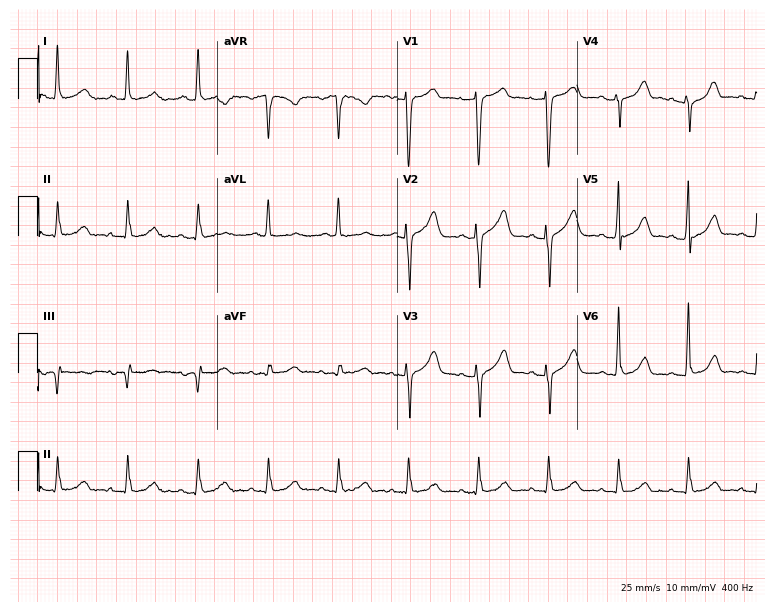
12-lead ECG (7.3-second recording at 400 Hz) from a male, 68 years old. Screened for six findings — first-degree AV block, right bundle branch block, left bundle branch block, sinus bradycardia, atrial fibrillation, sinus tachycardia — none is recorded.